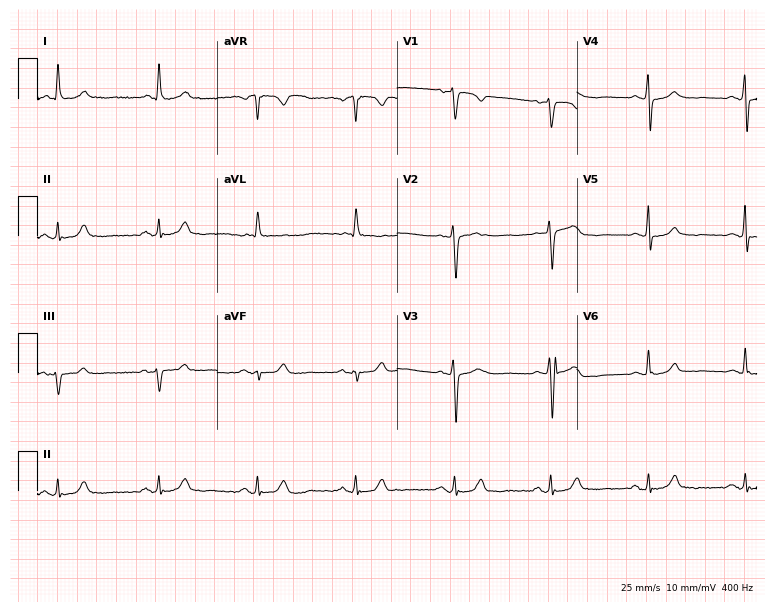
Electrocardiogram (7.3-second recording at 400 Hz), a female patient, 75 years old. Of the six screened findings (first-degree AV block, right bundle branch block, left bundle branch block, sinus bradycardia, atrial fibrillation, sinus tachycardia), none is recorded. Other findings, if any, are not listed.